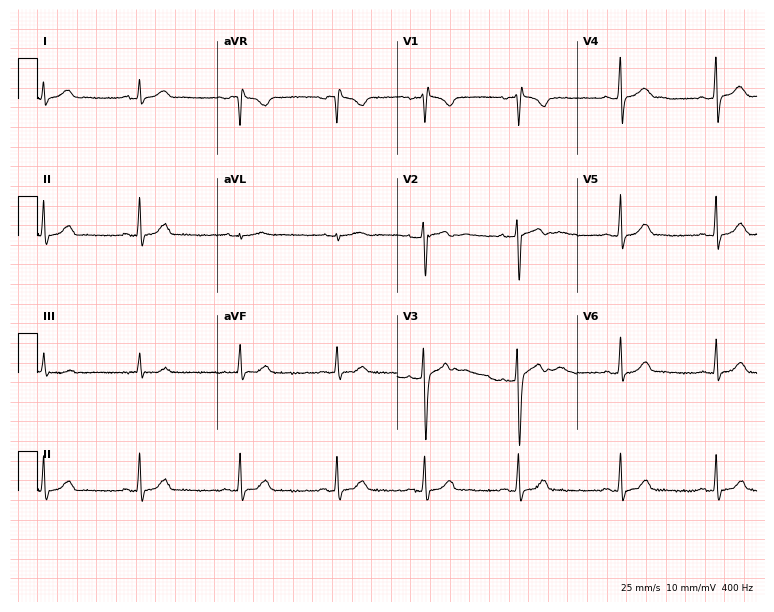
Standard 12-lead ECG recorded from a woman, 18 years old (7.3-second recording at 400 Hz). None of these six findings is recorded: first-degree AV block, right bundle branch block, left bundle branch block, sinus bradycardia, atrial fibrillation, sinus tachycardia. Other findings, if any, are not listed.